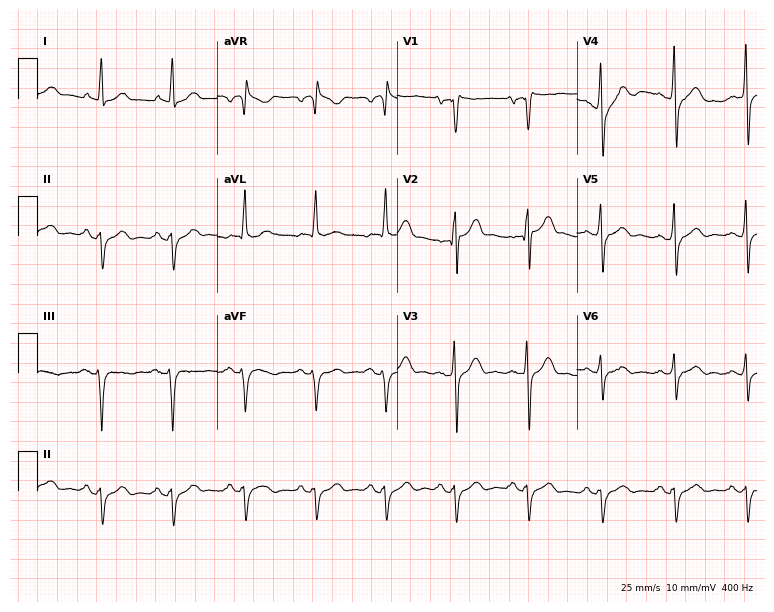
12-lead ECG from a 44-year-old man. Screened for six findings — first-degree AV block, right bundle branch block, left bundle branch block, sinus bradycardia, atrial fibrillation, sinus tachycardia — none is recorded.